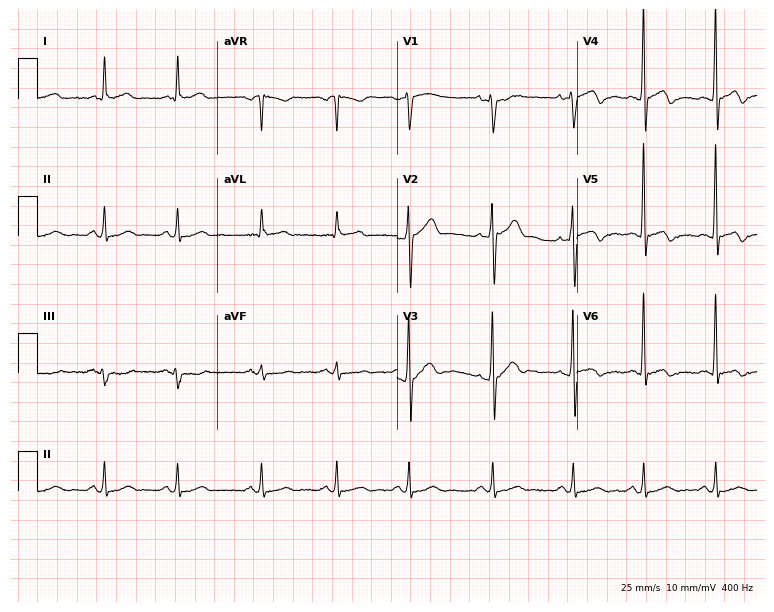
12-lead ECG from a male, 68 years old (7.3-second recording at 400 Hz). Recorded interpretation: within normal limits.